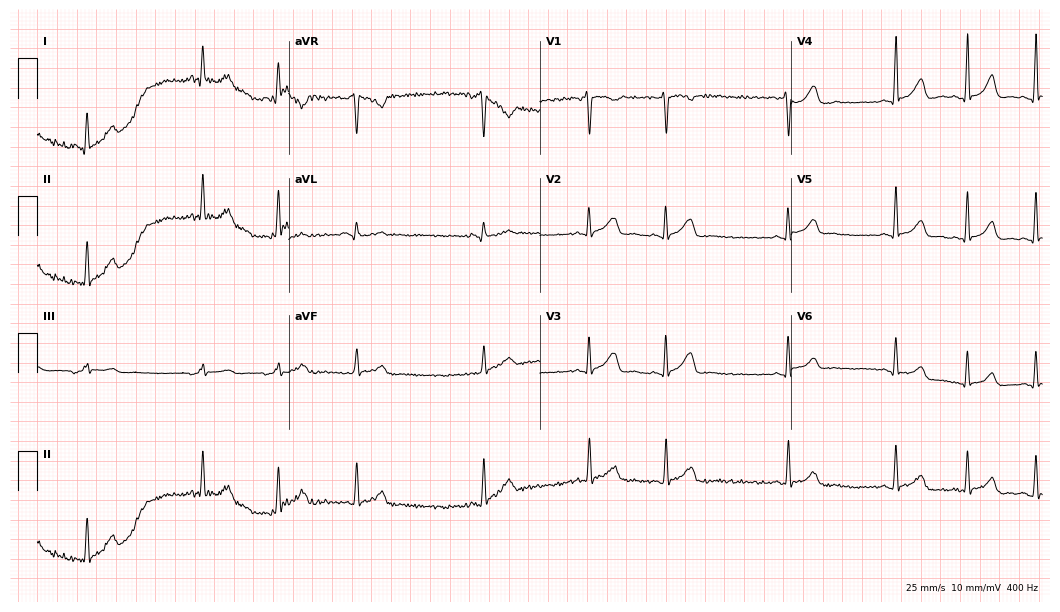
Electrocardiogram (10.2-second recording at 400 Hz), an 18-year-old female patient. Overall reading on record: normal ECG.